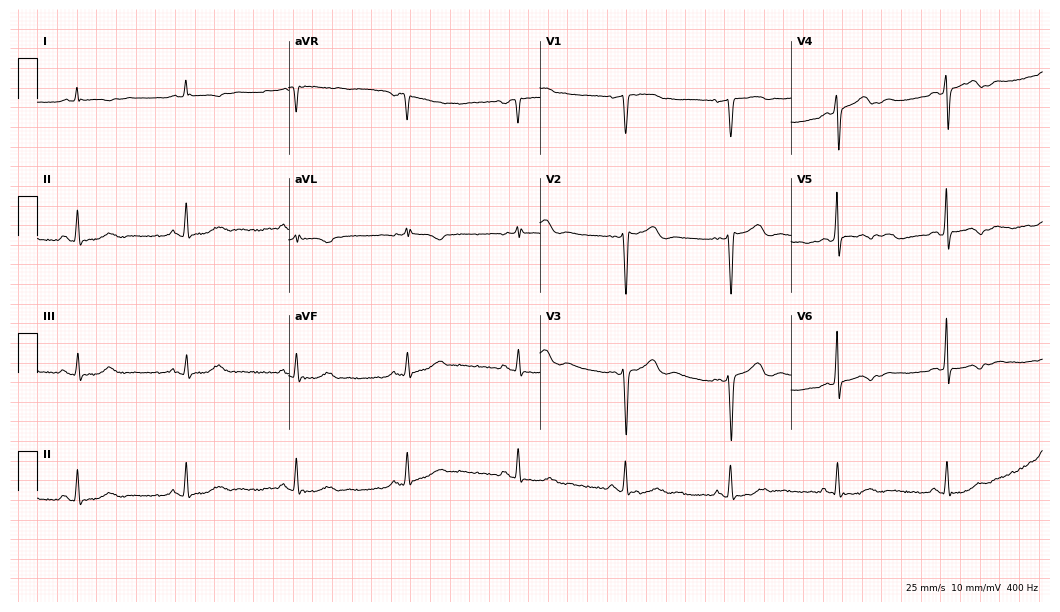
12-lead ECG from a female, 60 years old. Screened for six findings — first-degree AV block, right bundle branch block, left bundle branch block, sinus bradycardia, atrial fibrillation, sinus tachycardia — none is recorded.